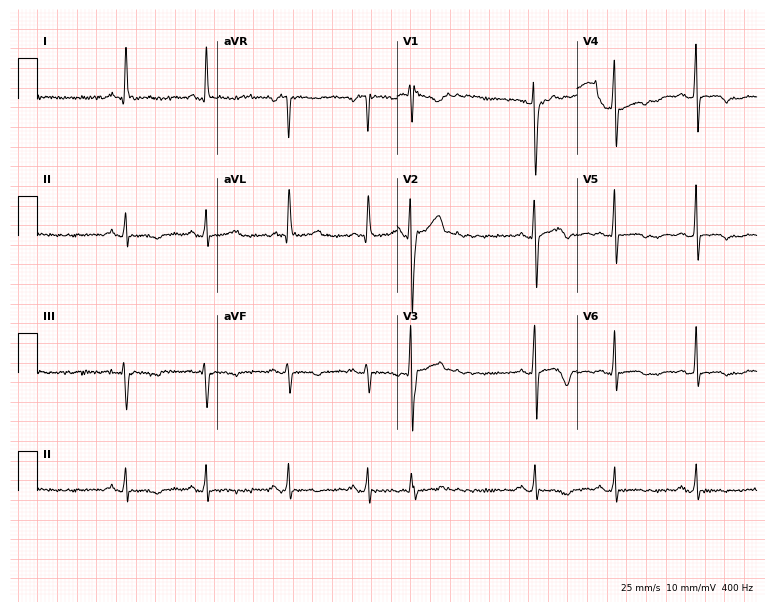
Electrocardiogram (7.3-second recording at 400 Hz), a female, 41 years old. Of the six screened findings (first-degree AV block, right bundle branch block (RBBB), left bundle branch block (LBBB), sinus bradycardia, atrial fibrillation (AF), sinus tachycardia), none is recorded.